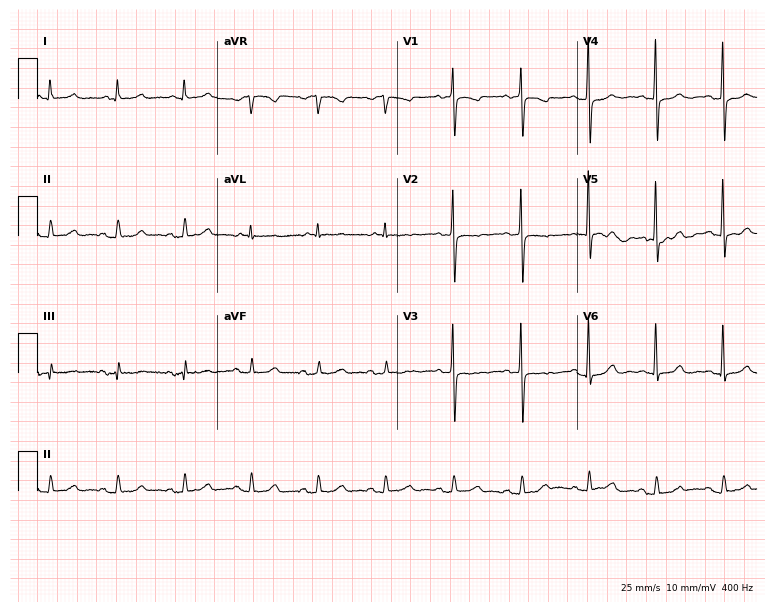
Electrocardiogram, a 79-year-old woman. Of the six screened findings (first-degree AV block, right bundle branch block, left bundle branch block, sinus bradycardia, atrial fibrillation, sinus tachycardia), none is recorded. Other findings, if any, are not listed.